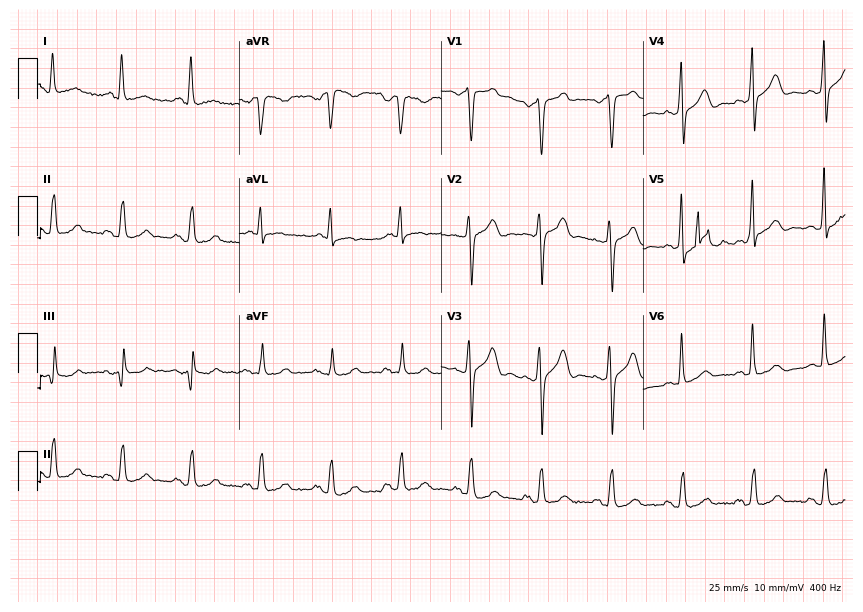
Electrocardiogram, a 54-year-old man. Of the six screened findings (first-degree AV block, right bundle branch block (RBBB), left bundle branch block (LBBB), sinus bradycardia, atrial fibrillation (AF), sinus tachycardia), none is recorded.